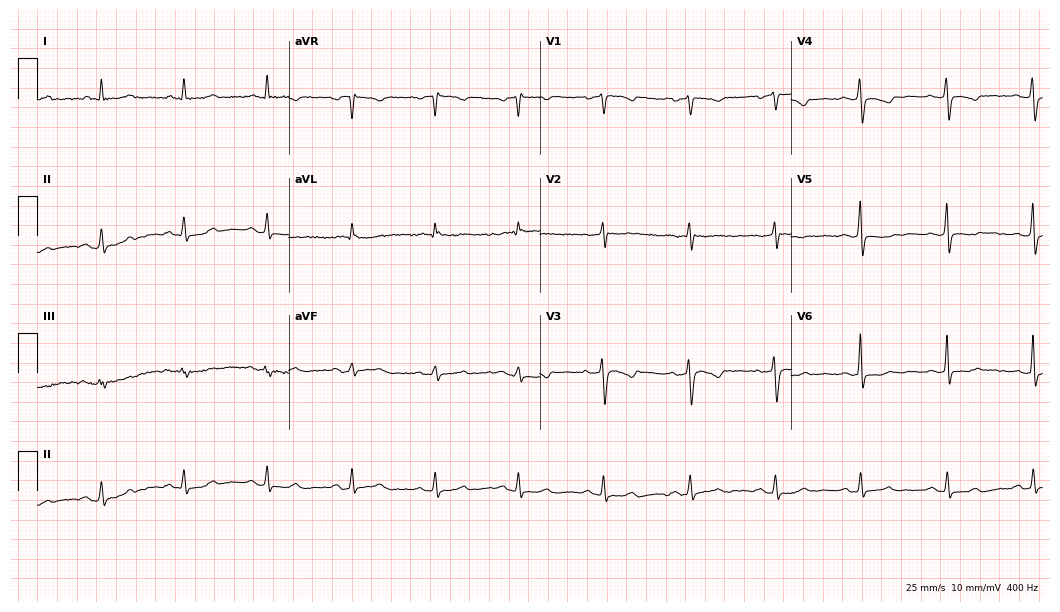
Standard 12-lead ECG recorded from a female, 49 years old (10.2-second recording at 400 Hz). None of these six findings is recorded: first-degree AV block, right bundle branch block (RBBB), left bundle branch block (LBBB), sinus bradycardia, atrial fibrillation (AF), sinus tachycardia. Only these six findings were labelled.